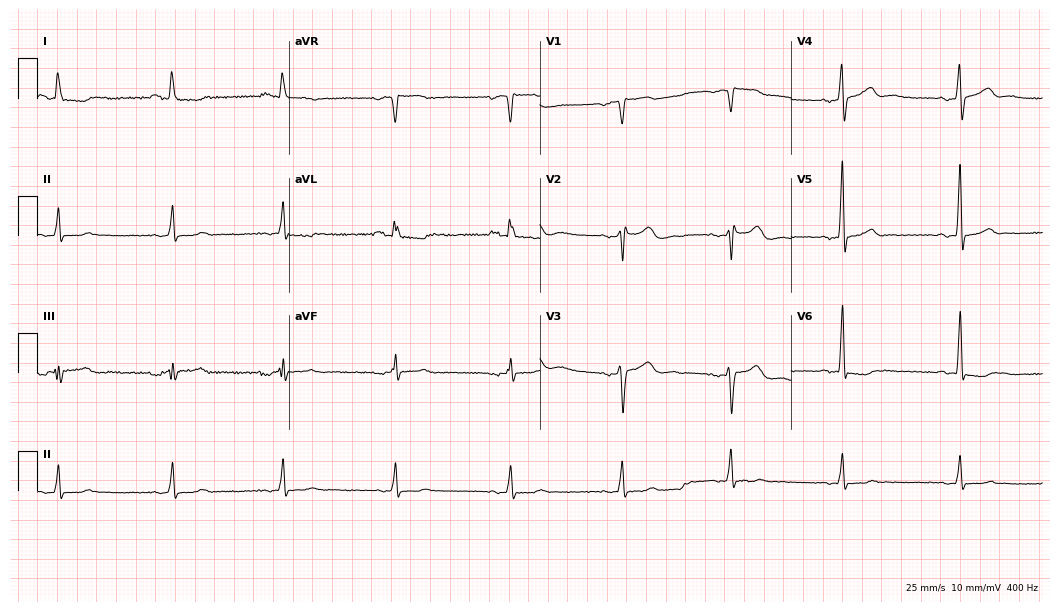
ECG (10.2-second recording at 400 Hz) — a male, 50 years old. Labelled as a normal ECG.